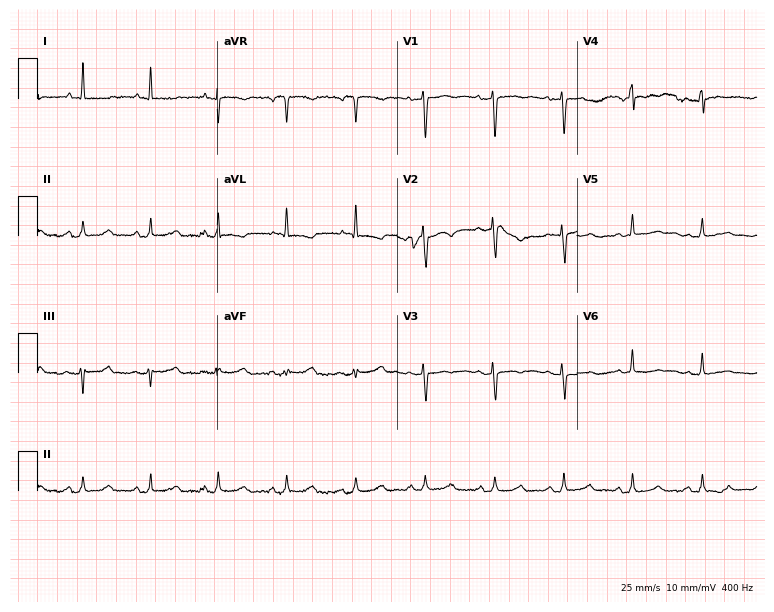
Standard 12-lead ECG recorded from a male, 62 years old. None of these six findings is recorded: first-degree AV block, right bundle branch block (RBBB), left bundle branch block (LBBB), sinus bradycardia, atrial fibrillation (AF), sinus tachycardia. Findings outside these six are not listed.